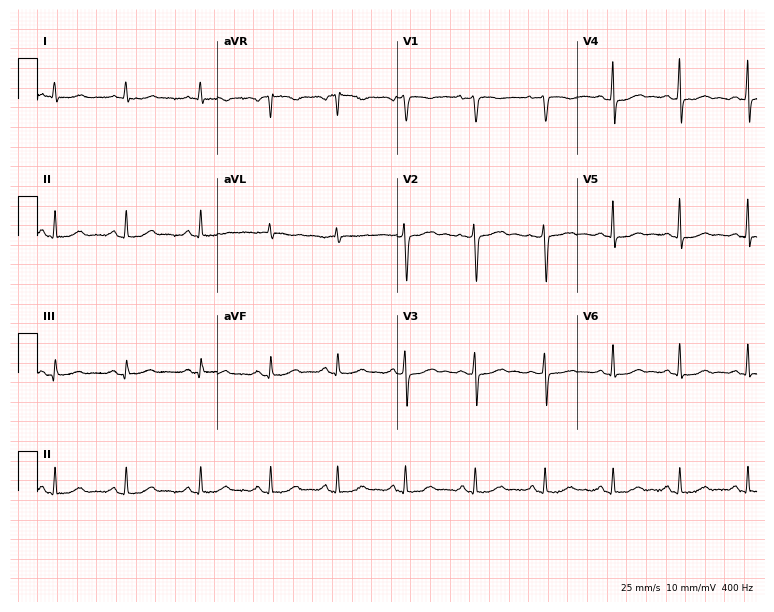
ECG (7.3-second recording at 400 Hz) — a woman, 51 years old. Labelled as a normal ECG.